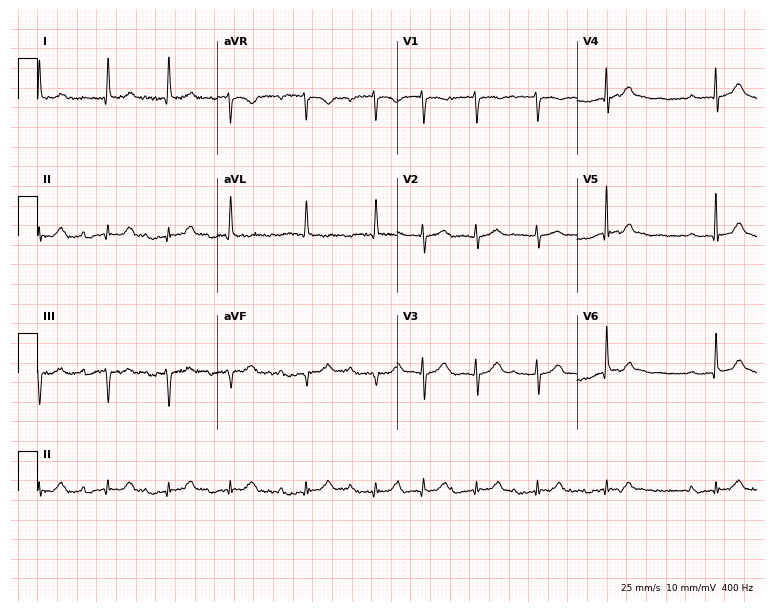
Standard 12-lead ECG recorded from an 80-year-old male patient. Read as a normal ECG.